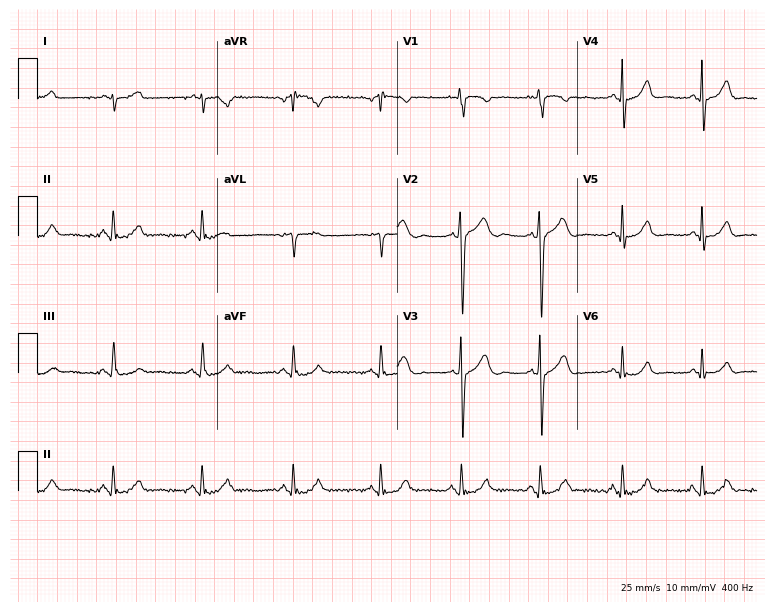
Standard 12-lead ECG recorded from a 19-year-old male (7.3-second recording at 400 Hz). Read as a normal ECG.